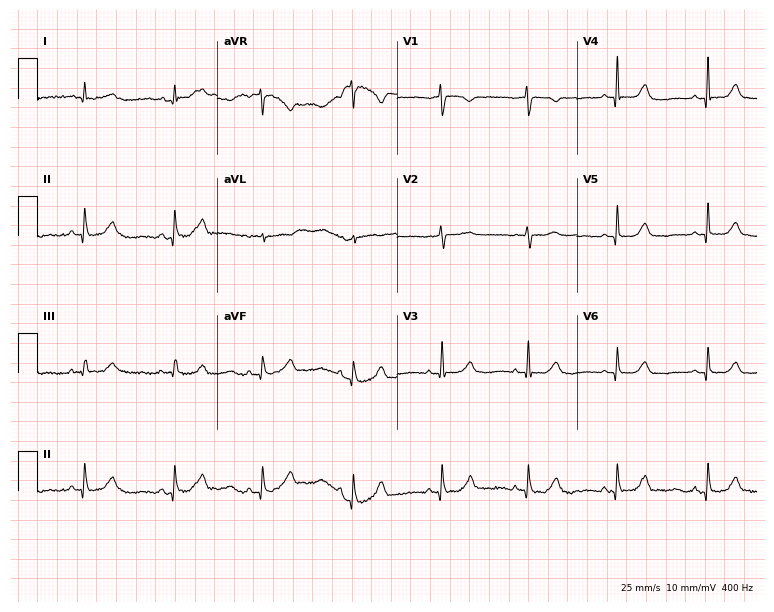
Electrocardiogram (7.3-second recording at 400 Hz), a 71-year-old female patient. Overall reading on record: normal ECG.